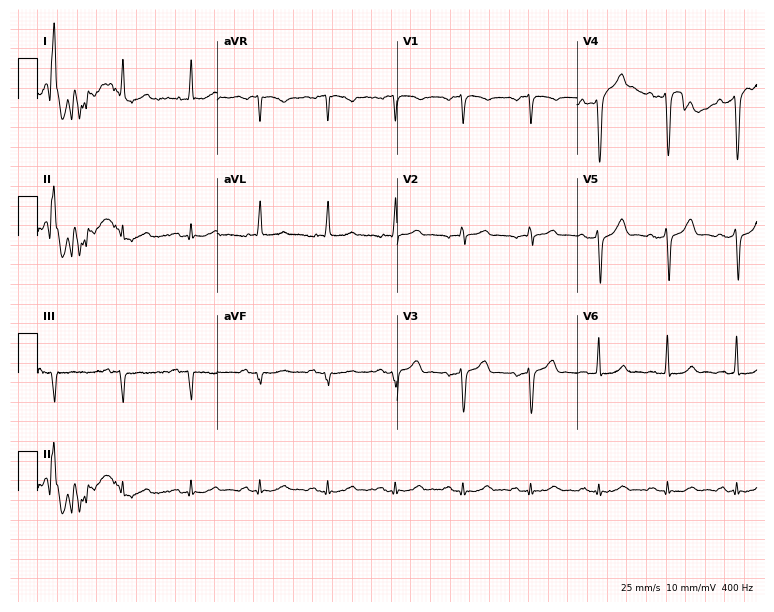
Electrocardiogram (7.3-second recording at 400 Hz), a male, 61 years old. Overall reading on record: normal ECG.